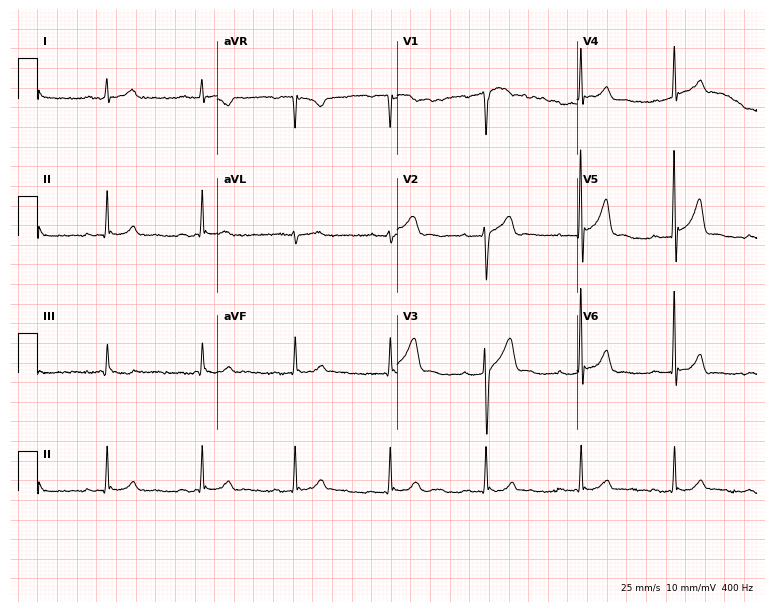
ECG — a 55-year-old male patient. Labelled as a normal ECG.